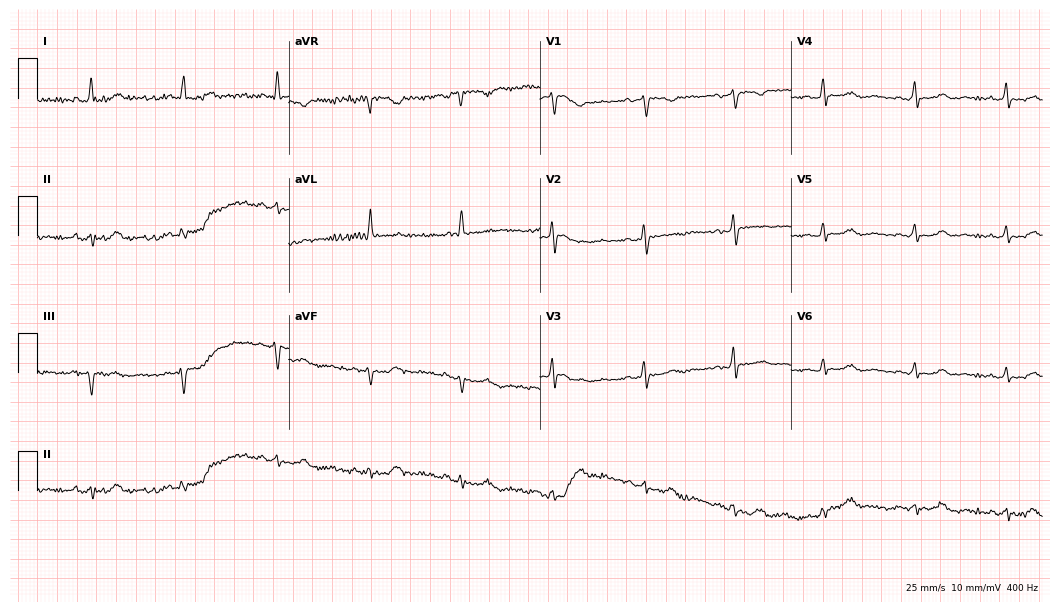
12-lead ECG (10.2-second recording at 400 Hz) from a 72-year-old female patient. Labelled as a normal ECG.